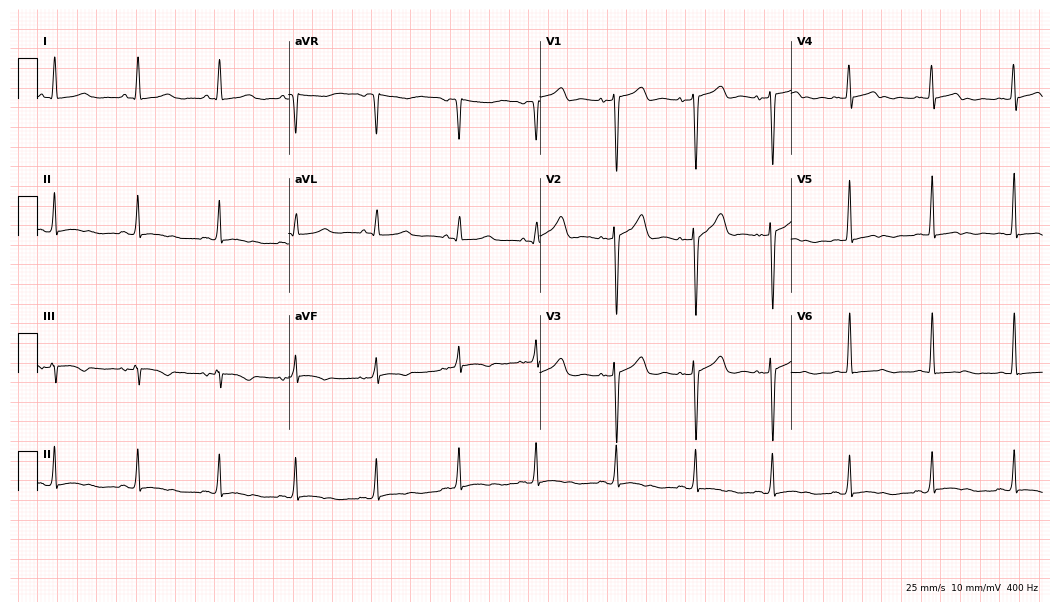
12-lead ECG (10.2-second recording at 400 Hz) from a 44-year-old woman. Screened for six findings — first-degree AV block, right bundle branch block, left bundle branch block, sinus bradycardia, atrial fibrillation, sinus tachycardia — none is recorded.